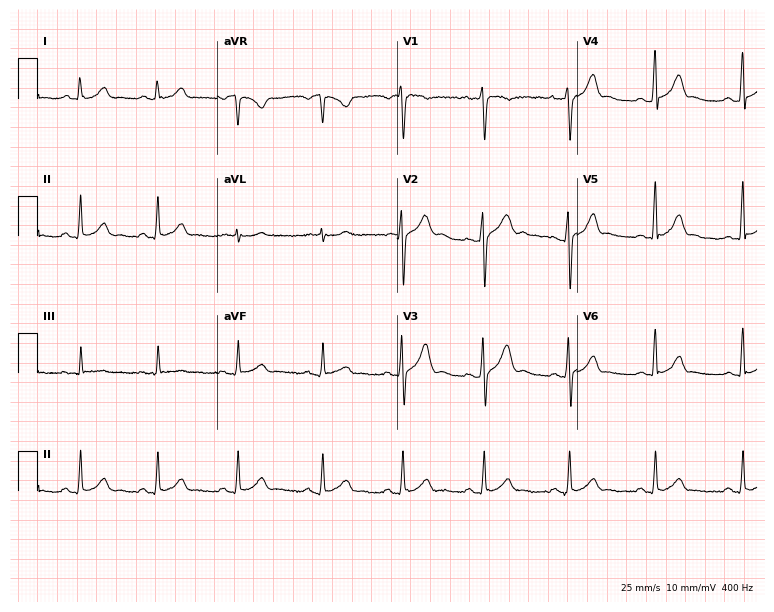
Electrocardiogram, a man, 24 years old. Overall reading on record: normal ECG.